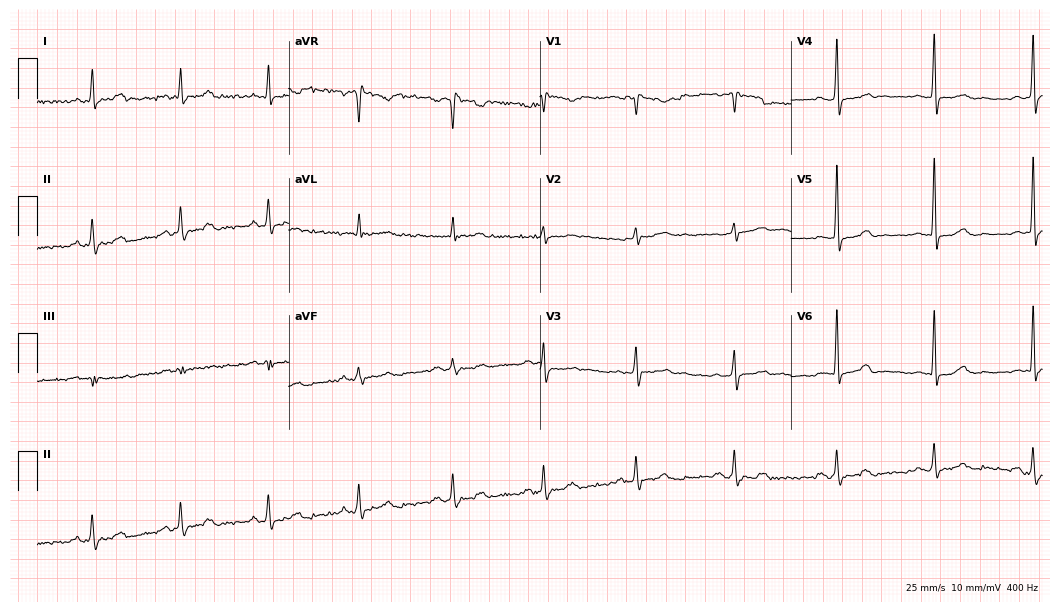
ECG (10.2-second recording at 400 Hz) — a 56-year-old female. Labelled as a normal ECG.